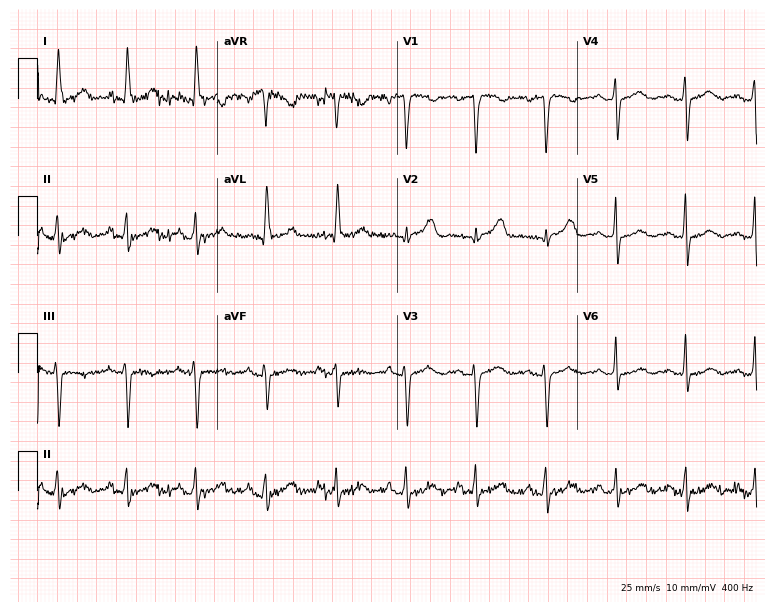
12-lead ECG from a female, 47 years old. Labelled as a normal ECG.